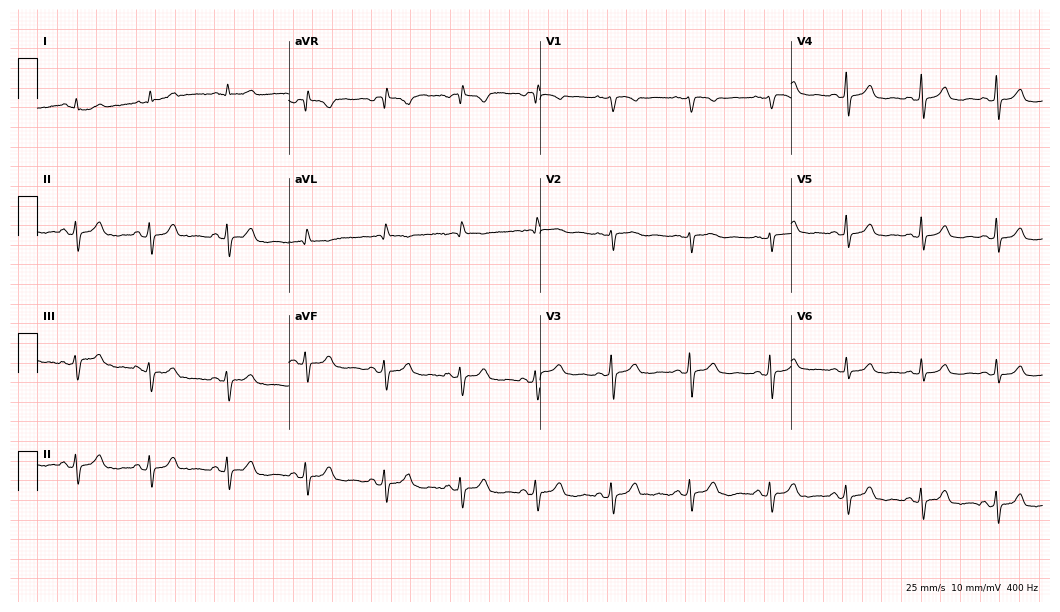
12-lead ECG (10.2-second recording at 400 Hz) from a 54-year-old female. Screened for six findings — first-degree AV block, right bundle branch block, left bundle branch block, sinus bradycardia, atrial fibrillation, sinus tachycardia — none is recorded. Other findings, if any, are not listed.